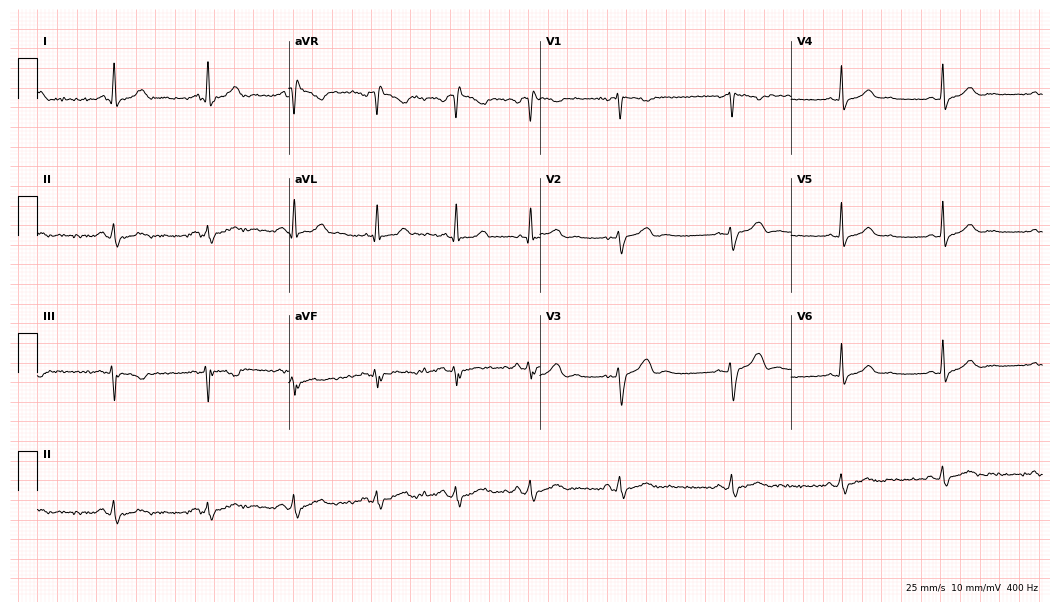
ECG (10.2-second recording at 400 Hz) — a woman, 17 years old. Screened for six findings — first-degree AV block, right bundle branch block, left bundle branch block, sinus bradycardia, atrial fibrillation, sinus tachycardia — none is recorded. Only these six findings were labelled.